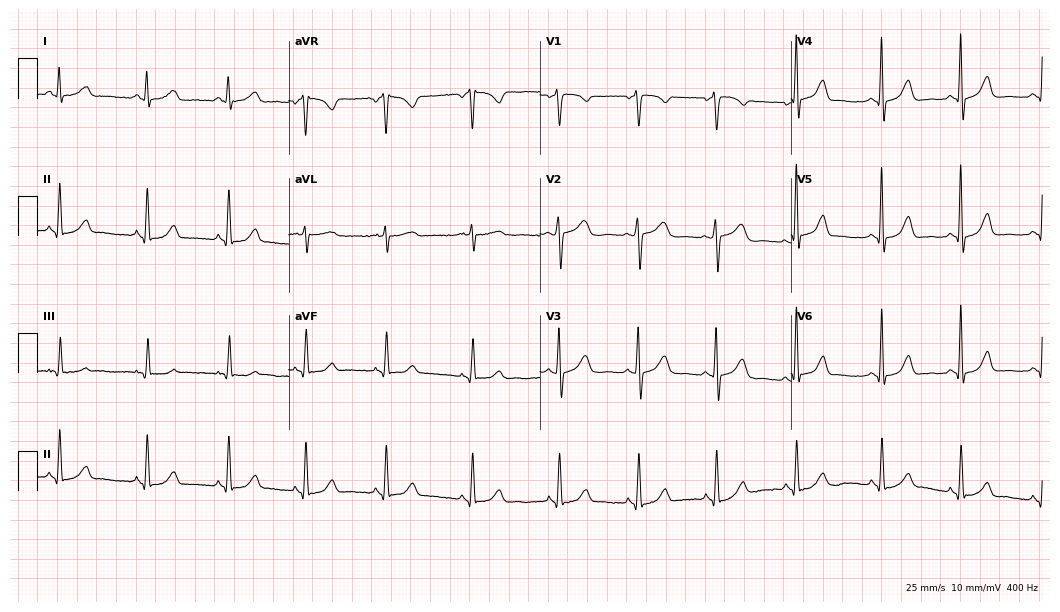
ECG (10.2-second recording at 400 Hz) — a female patient, 55 years old. Screened for six findings — first-degree AV block, right bundle branch block, left bundle branch block, sinus bradycardia, atrial fibrillation, sinus tachycardia — none is recorded.